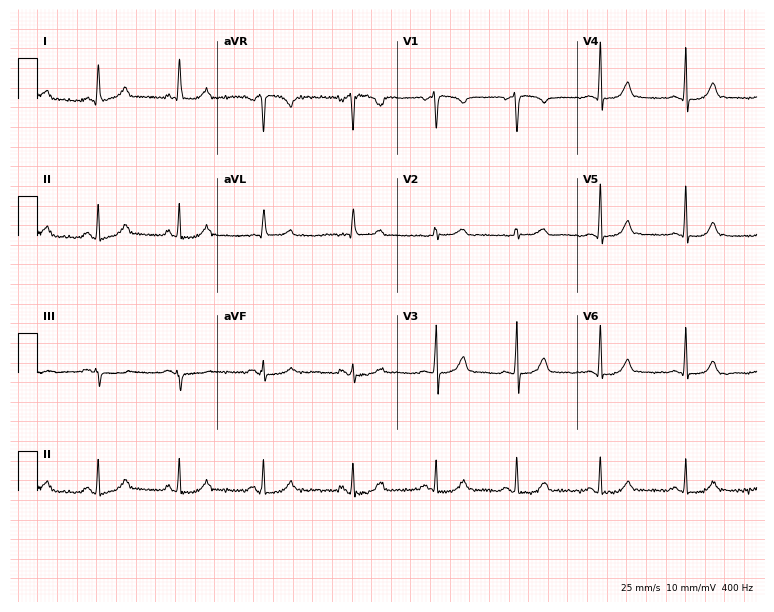
Electrocardiogram, a woman, 44 years old. Of the six screened findings (first-degree AV block, right bundle branch block (RBBB), left bundle branch block (LBBB), sinus bradycardia, atrial fibrillation (AF), sinus tachycardia), none is recorded. Findings outside these six are not listed.